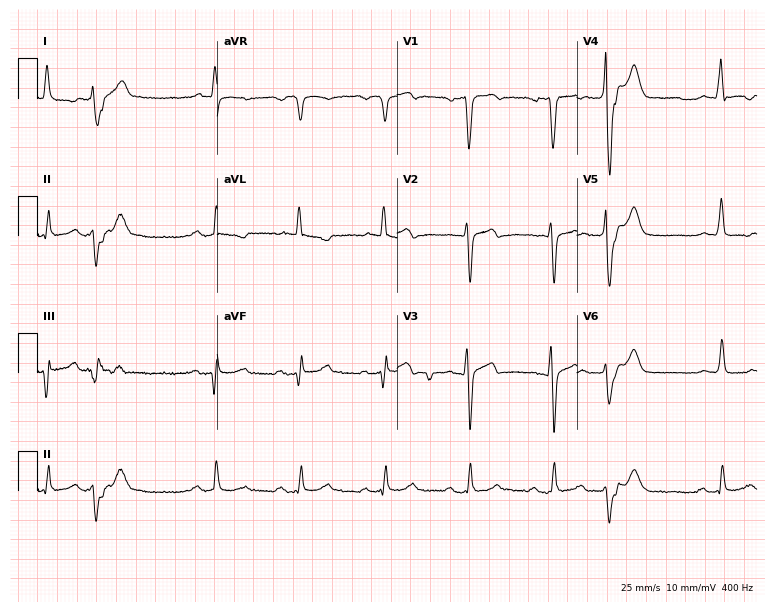
Standard 12-lead ECG recorded from a 78-year-old male patient (7.3-second recording at 400 Hz). None of these six findings is recorded: first-degree AV block, right bundle branch block (RBBB), left bundle branch block (LBBB), sinus bradycardia, atrial fibrillation (AF), sinus tachycardia.